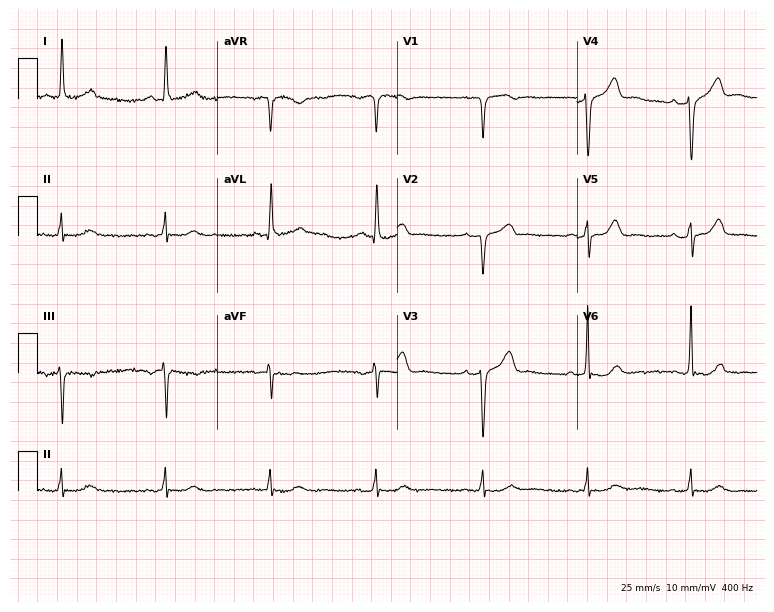
12-lead ECG (7.3-second recording at 400 Hz) from a 67-year-old male patient. Screened for six findings — first-degree AV block, right bundle branch block, left bundle branch block, sinus bradycardia, atrial fibrillation, sinus tachycardia — none is recorded.